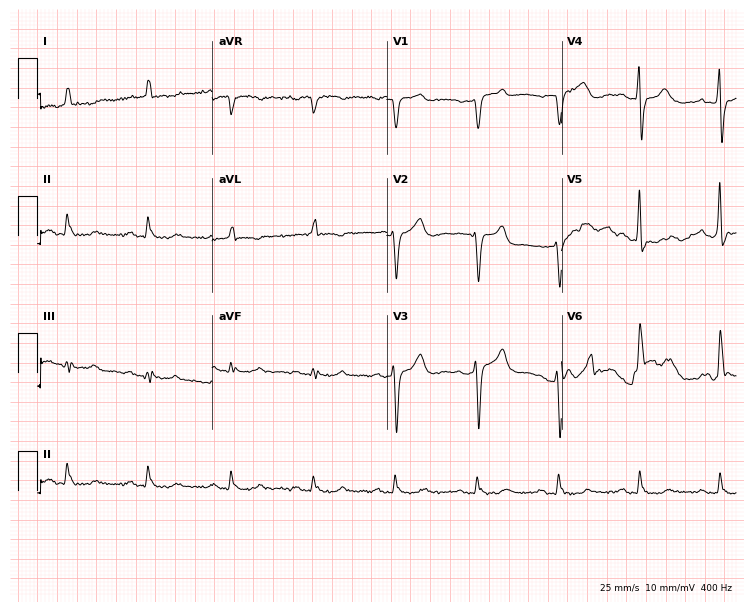
ECG (7.1-second recording at 400 Hz) — a man, 82 years old. Screened for six findings — first-degree AV block, right bundle branch block (RBBB), left bundle branch block (LBBB), sinus bradycardia, atrial fibrillation (AF), sinus tachycardia — none is recorded.